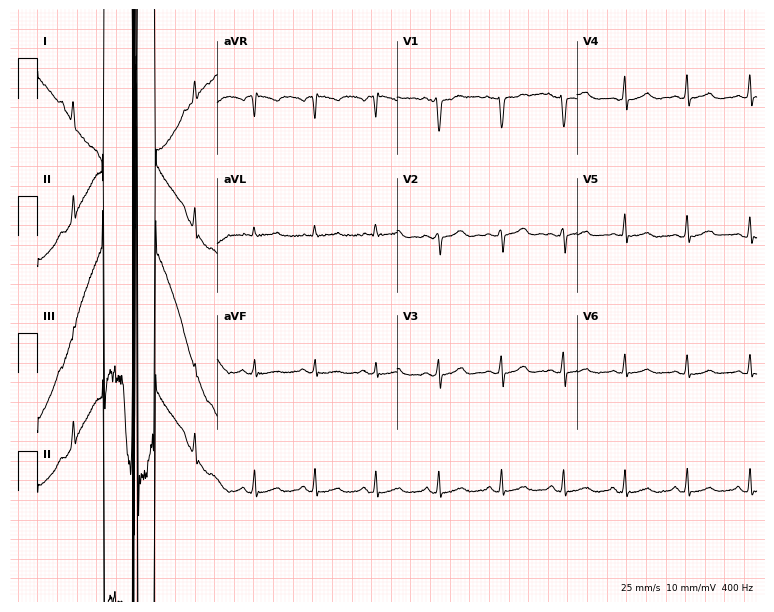
Resting 12-lead electrocardiogram (7.3-second recording at 400 Hz). Patient: a 35-year-old woman. None of these six findings is recorded: first-degree AV block, right bundle branch block, left bundle branch block, sinus bradycardia, atrial fibrillation, sinus tachycardia.